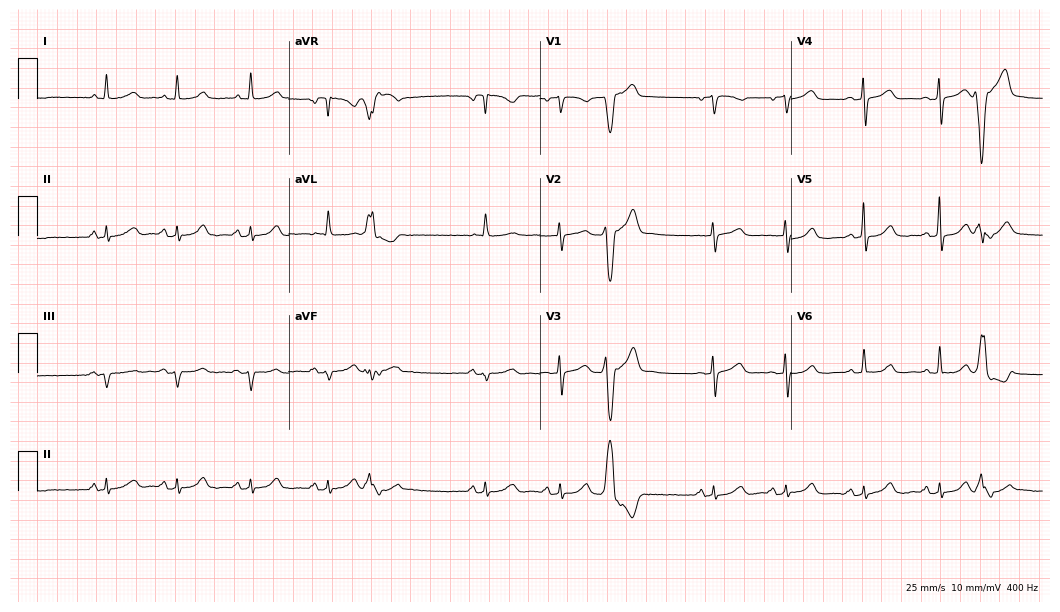
12-lead ECG from a 70-year-old woman. Screened for six findings — first-degree AV block, right bundle branch block (RBBB), left bundle branch block (LBBB), sinus bradycardia, atrial fibrillation (AF), sinus tachycardia — none is recorded. Findings outside these six are not listed.